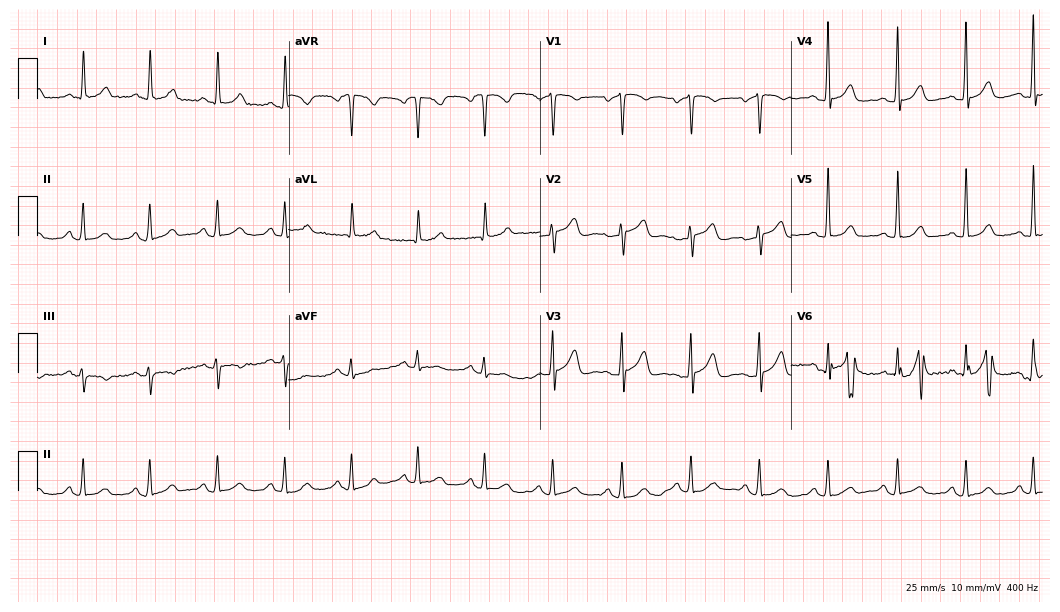
Electrocardiogram (10.2-second recording at 400 Hz), a female patient, 53 years old. Overall reading on record: normal ECG.